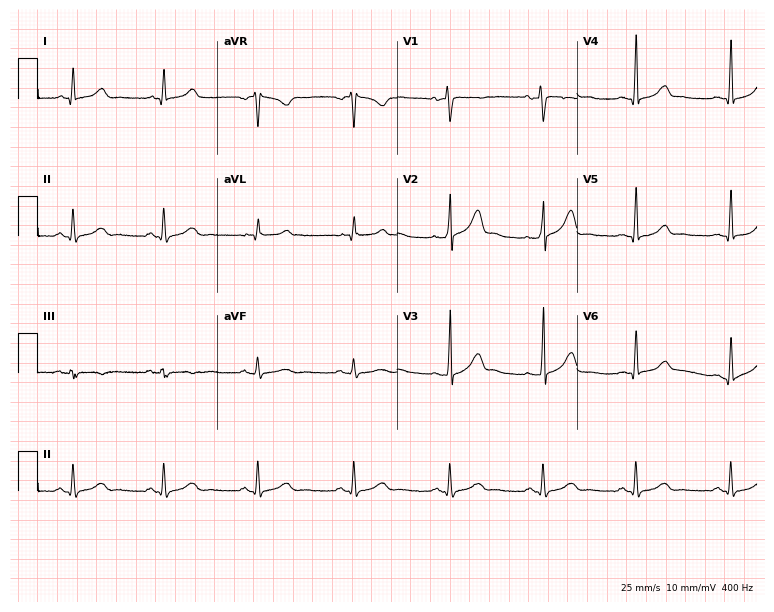
12-lead ECG (7.3-second recording at 400 Hz) from a male, 47 years old. Labelled as a normal ECG.